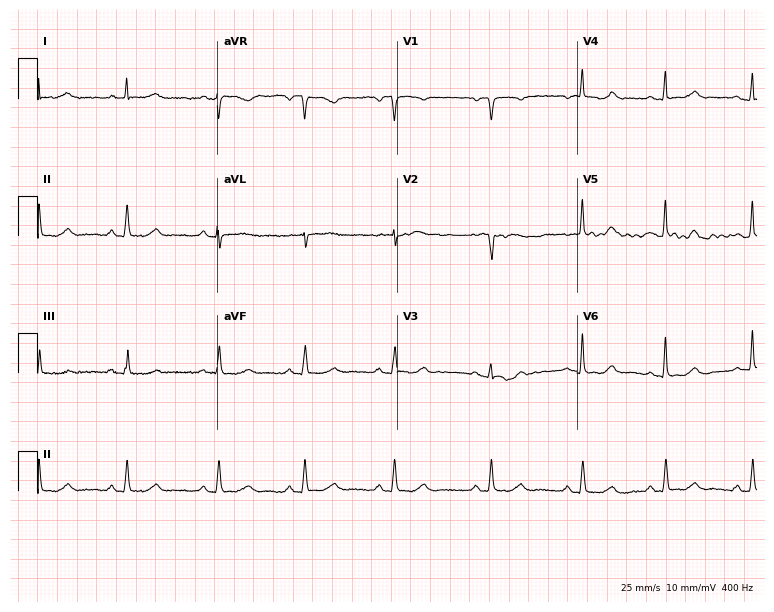
Standard 12-lead ECG recorded from a 63-year-old woman. Read as a normal ECG.